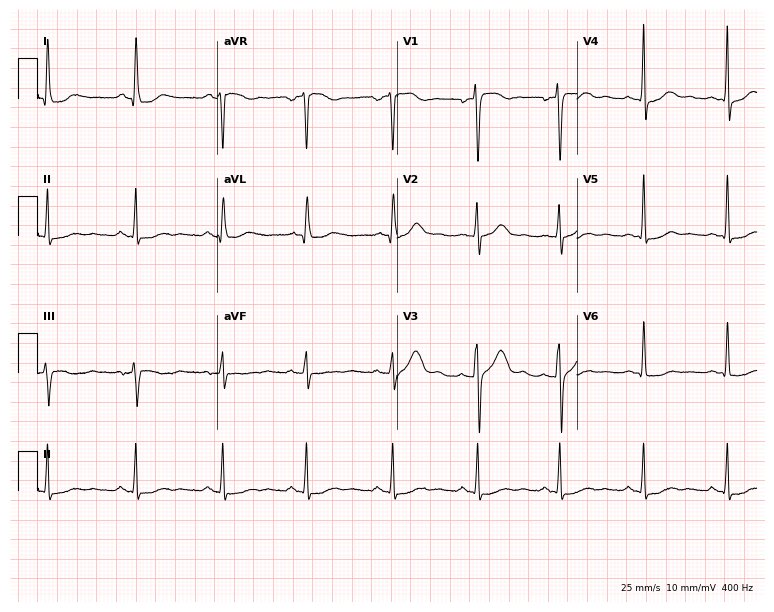
ECG — a 42-year-old male patient. Labelled as a normal ECG.